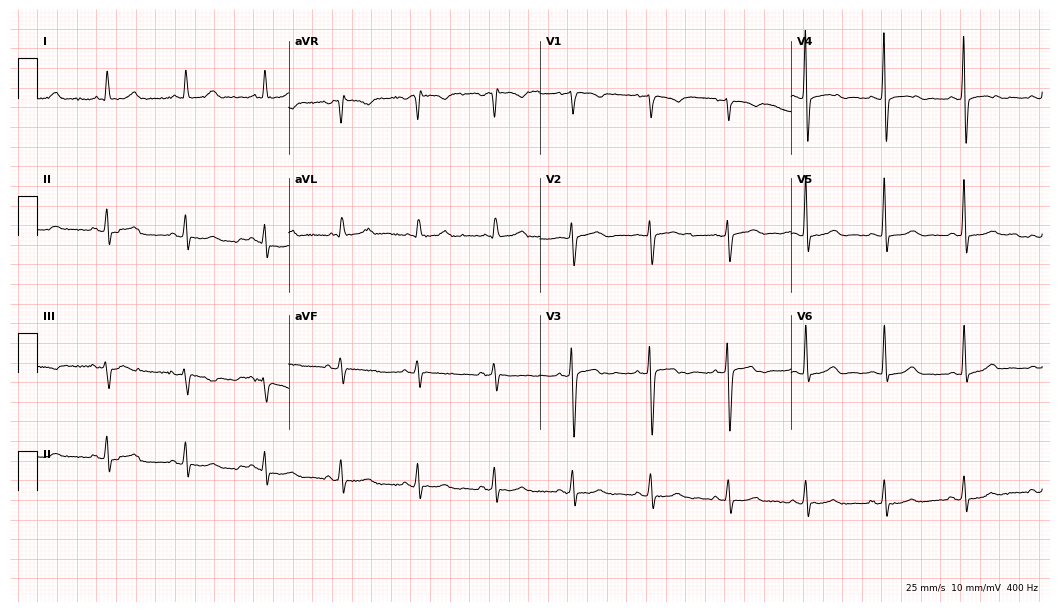
12-lead ECG from a female, 54 years old. Labelled as a normal ECG.